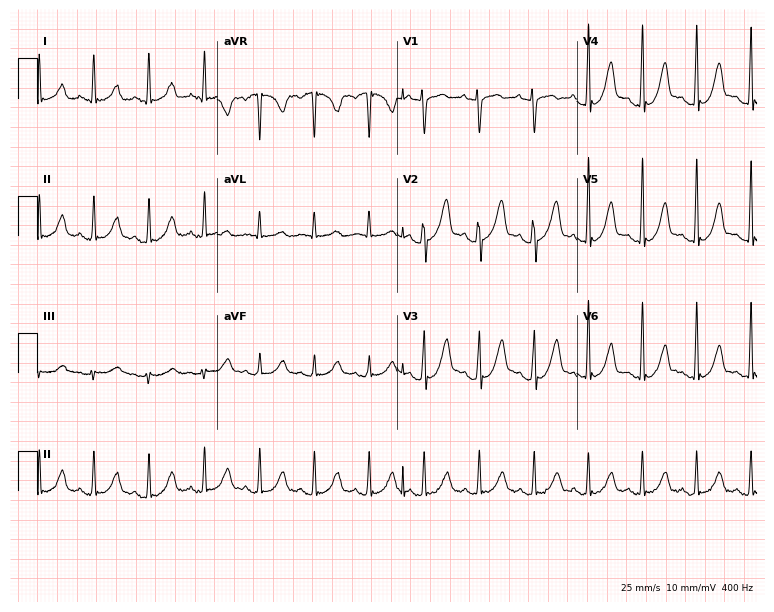
Standard 12-lead ECG recorded from a 33-year-old woman. The tracing shows sinus tachycardia (a sinus rate of 100 beats per minute or more).